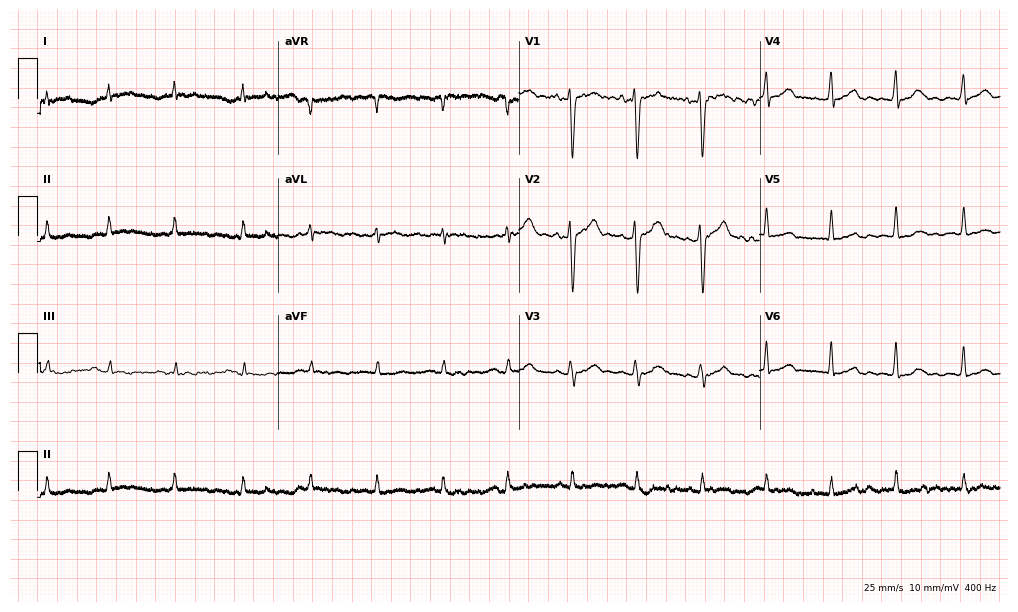
Electrocardiogram, a 31-year-old female patient. Of the six screened findings (first-degree AV block, right bundle branch block (RBBB), left bundle branch block (LBBB), sinus bradycardia, atrial fibrillation (AF), sinus tachycardia), none is recorded.